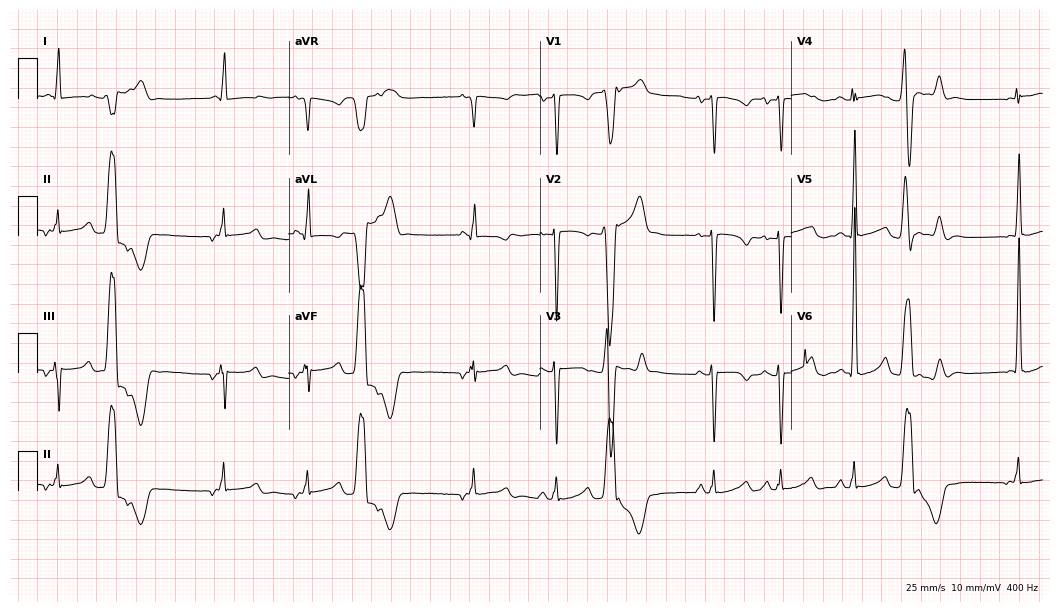
12-lead ECG (10.2-second recording at 400 Hz) from a 41-year-old woman. Screened for six findings — first-degree AV block, right bundle branch block, left bundle branch block, sinus bradycardia, atrial fibrillation, sinus tachycardia — none is recorded. Other findings, if any, are not listed.